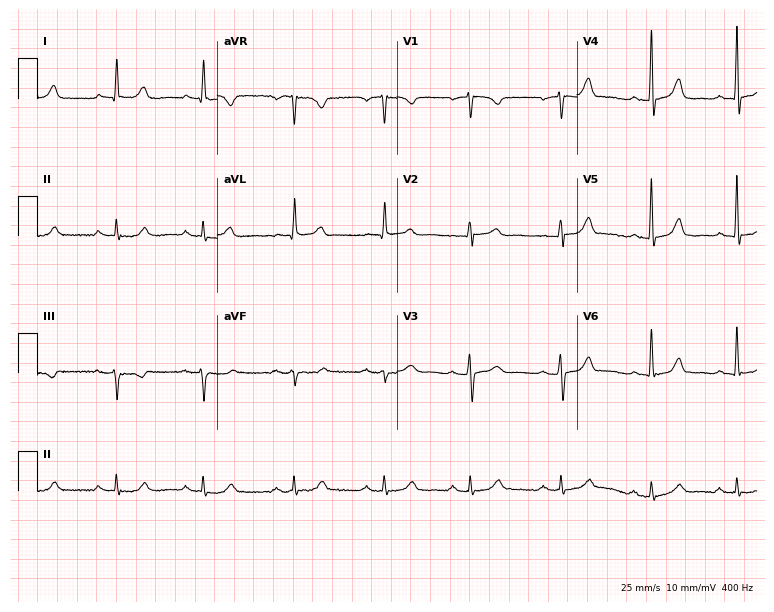
ECG (7.3-second recording at 400 Hz) — a 71-year-old woman. Labelled as a normal ECG.